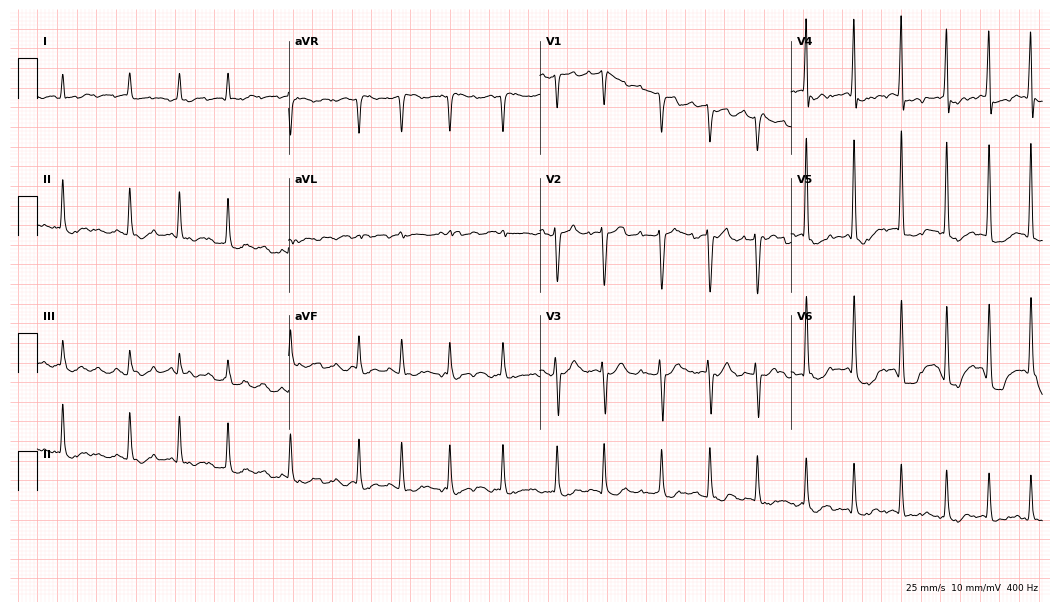
Electrocardiogram, an 81-year-old female. Of the six screened findings (first-degree AV block, right bundle branch block, left bundle branch block, sinus bradycardia, atrial fibrillation, sinus tachycardia), none is recorded. Only these six findings were labelled.